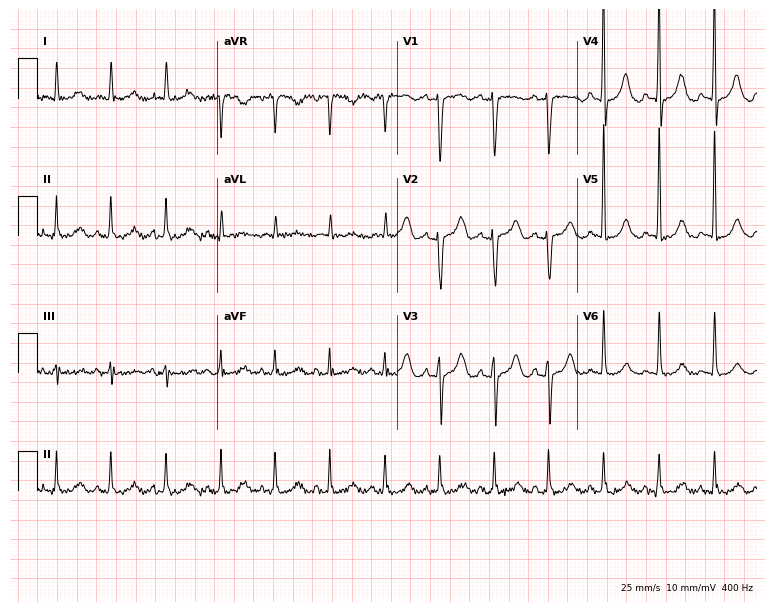
Standard 12-lead ECG recorded from a 71-year-old female patient. None of these six findings is recorded: first-degree AV block, right bundle branch block, left bundle branch block, sinus bradycardia, atrial fibrillation, sinus tachycardia. Other findings, if any, are not listed.